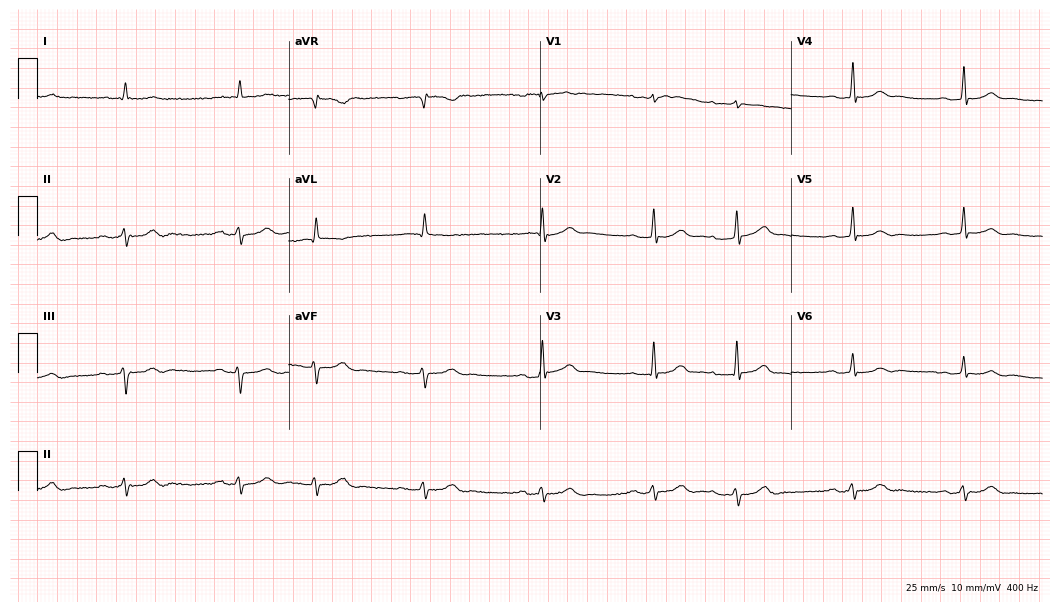
Resting 12-lead electrocardiogram (10.2-second recording at 400 Hz). Patient: a 77-year-old male. None of these six findings is recorded: first-degree AV block, right bundle branch block, left bundle branch block, sinus bradycardia, atrial fibrillation, sinus tachycardia.